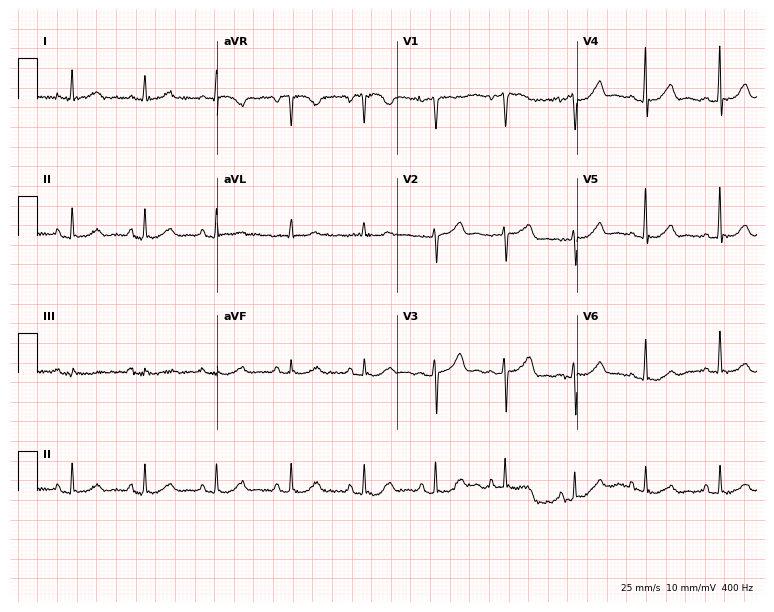
Resting 12-lead electrocardiogram. Patient: a 52-year-old woman. Read as a normal ECG.